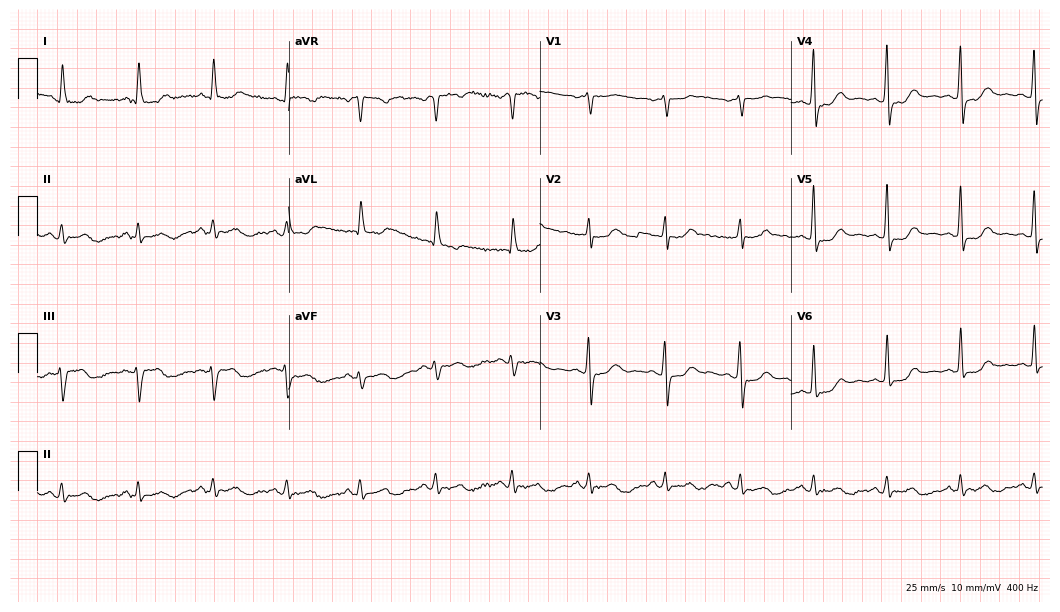
Electrocardiogram (10.2-second recording at 400 Hz), a female, 67 years old. Of the six screened findings (first-degree AV block, right bundle branch block, left bundle branch block, sinus bradycardia, atrial fibrillation, sinus tachycardia), none is recorded. Findings outside these six are not listed.